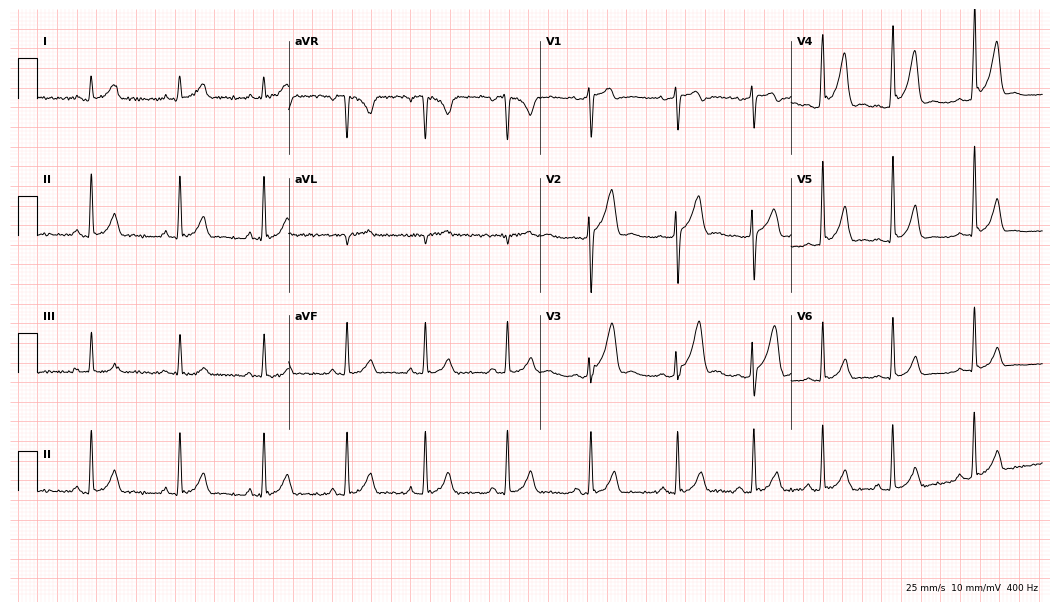
12-lead ECG from a 24-year-old male patient (10.2-second recording at 400 Hz). Recorded interpretation: within normal limits.